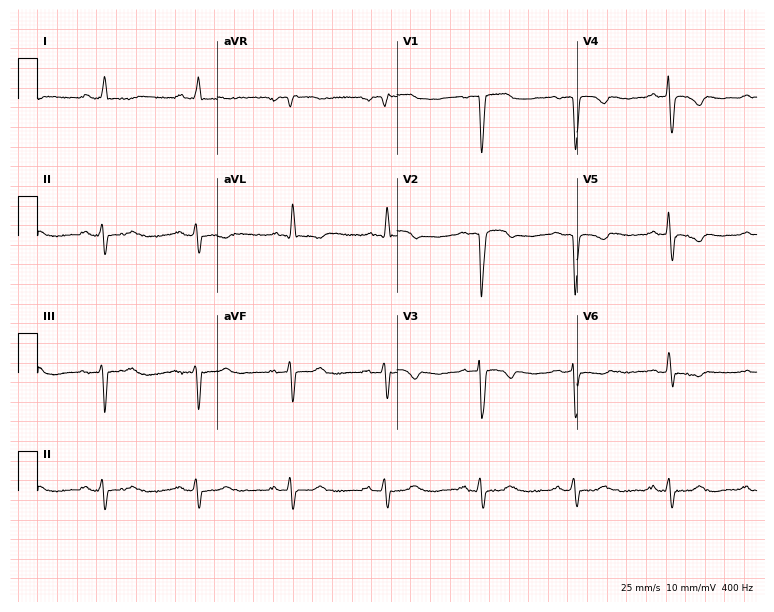
Electrocardiogram, a 71-year-old male. Of the six screened findings (first-degree AV block, right bundle branch block, left bundle branch block, sinus bradycardia, atrial fibrillation, sinus tachycardia), none is recorded. Other findings, if any, are not listed.